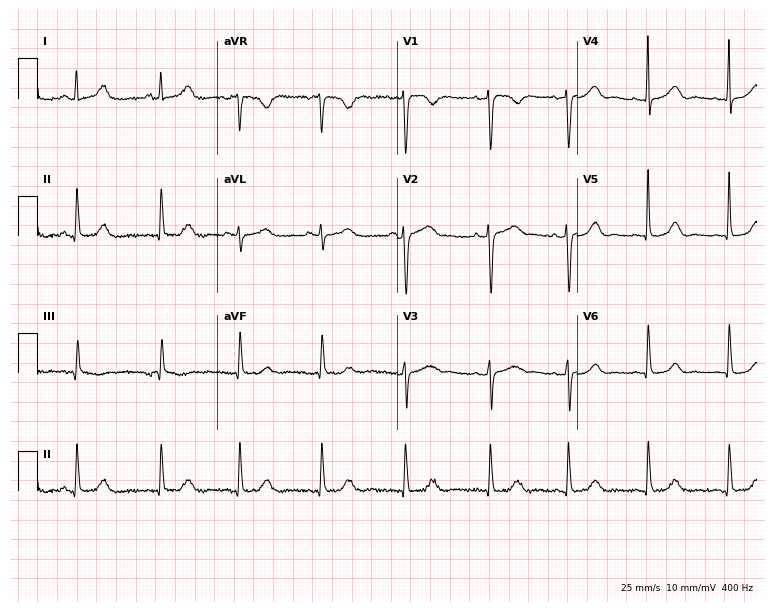
Resting 12-lead electrocardiogram (7.3-second recording at 400 Hz). Patient: a 38-year-old female. Read as a normal ECG.